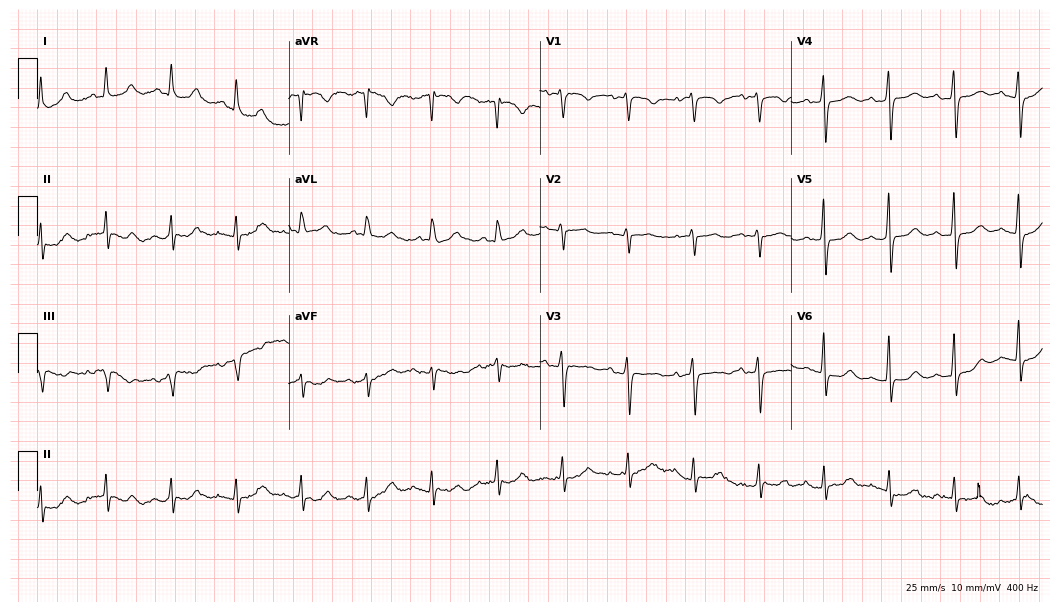
12-lead ECG (10.2-second recording at 400 Hz) from a 77-year-old female patient. Screened for six findings — first-degree AV block, right bundle branch block (RBBB), left bundle branch block (LBBB), sinus bradycardia, atrial fibrillation (AF), sinus tachycardia — none is recorded.